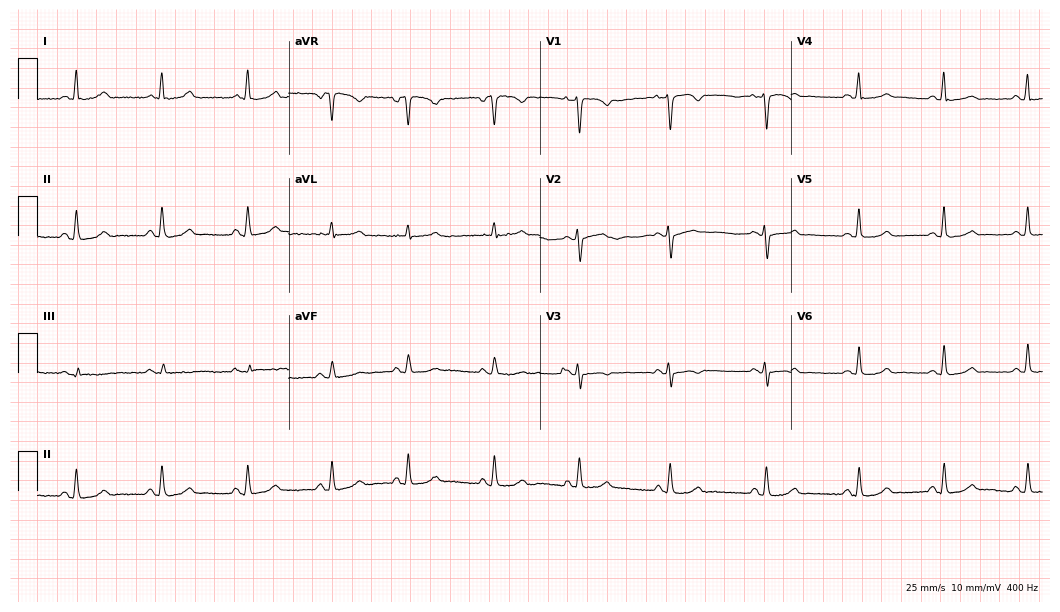
Standard 12-lead ECG recorded from a 34-year-old female patient. Read as a normal ECG.